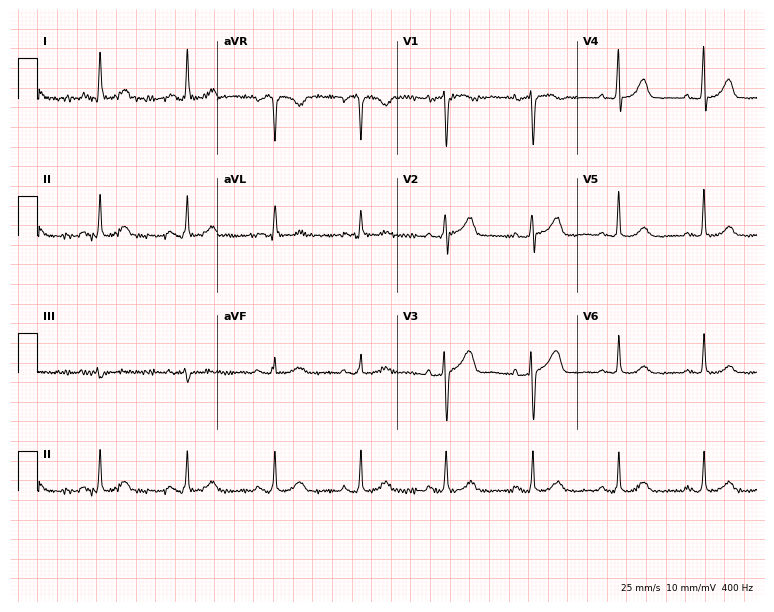
12-lead ECG from a 73-year-old female patient (7.3-second recording at 400 Hz). Recorded interpretation: within normal limits.